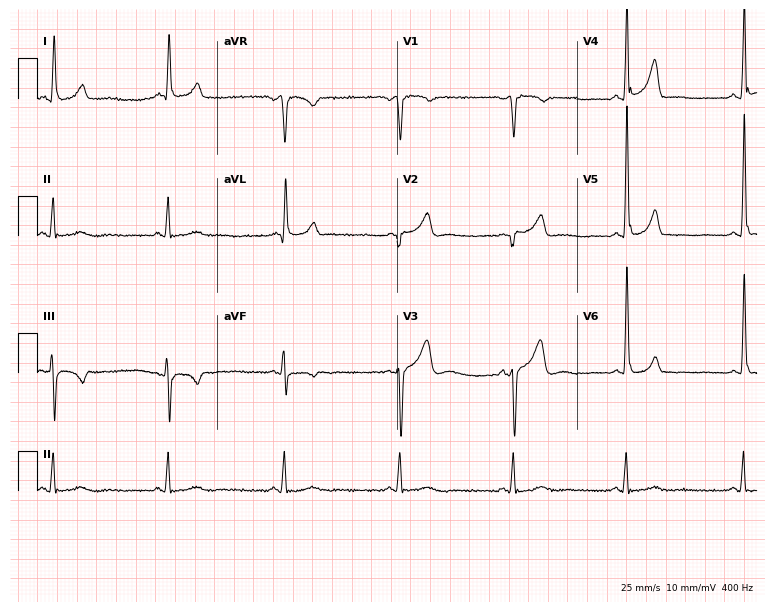
ECG (7.3-second recording at 400 Hz) — a 66-year-old male. Screened for six findings — first-degree AV block, right bundle branch block (RBBB), left bundle branch block (LBBB), sinus bradycardia, atrial fibrillation (AF), sinus tachycardia — none is recorded.